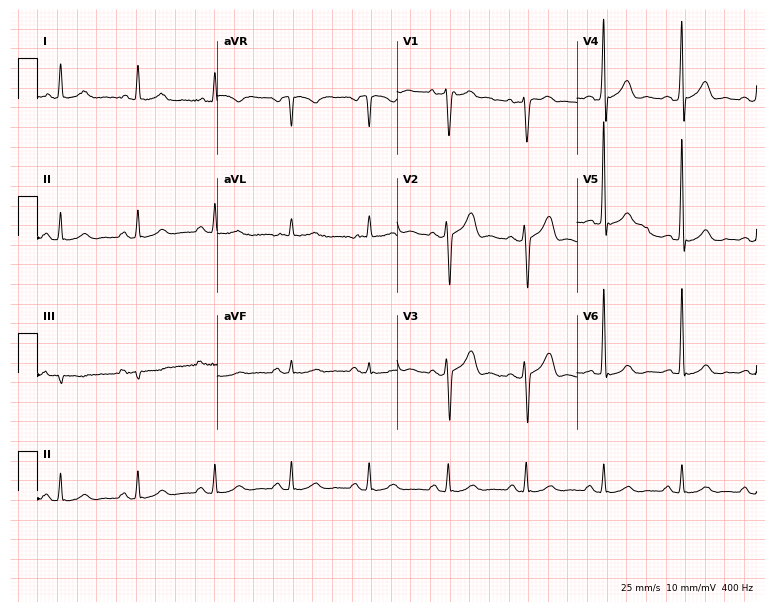
12-lead ECG (7.3-second recording at 400 Hz) from a 53-year-old male. Screened for six findings — first-degree AV block, right bundle branch block (RBBB), left bundle branch block (LBBB), sinus bradycardia, atrial fibrillation (AF), sinus tachycardia — none is recorded.